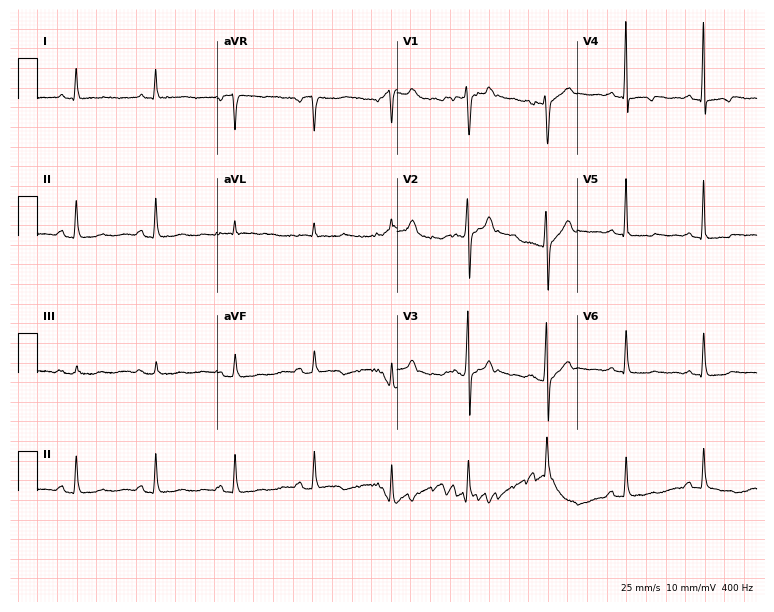
ECG (7.3-second recording at 400 Hz) — a 79-year-old female. Screened for six findings — first-degree AV block, right bundle branch block, left bundle branch block, sinus bradycardia, atrial fibrillation, sinus tachycardia — none is recorded. Other findings, if any, are not listed.